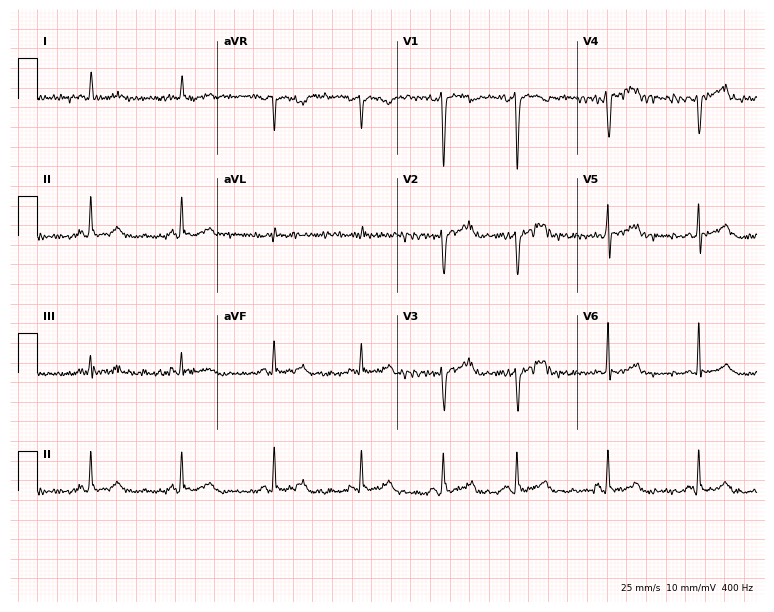
Electrocardiogram (7.3-second recording at 400 Hz), a 54-year-old male patient. Of the six screened findings (first-degree AV block, right bundle branch block (RBBB), left bundle branch block (LBBB), sinus bradycardia, atrial fibrillation (AF), sinus tachycardia), none is recorded.